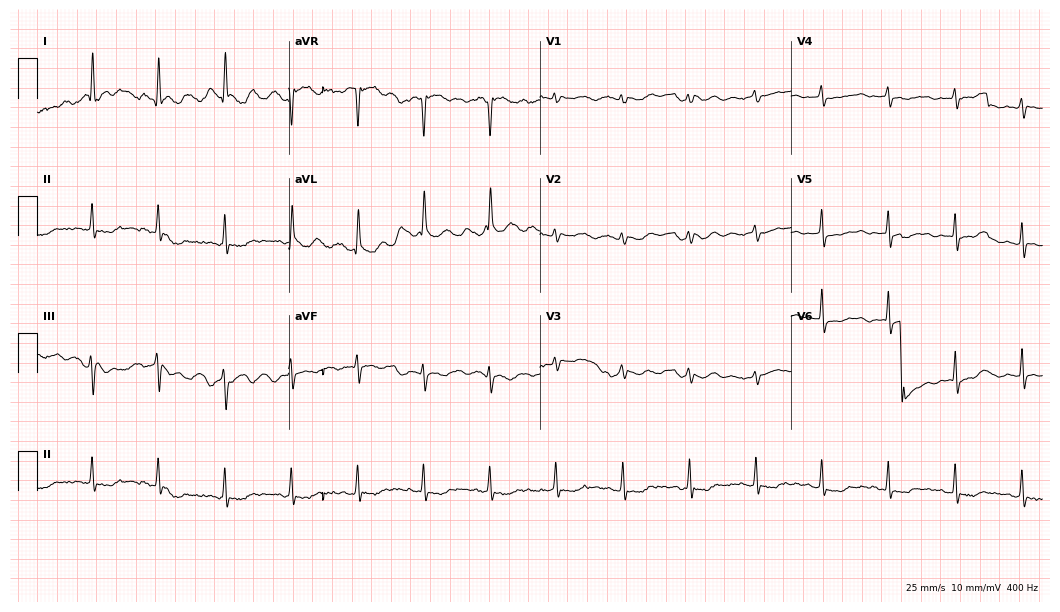
12-lead ECG (10.2-second recording at 400 Hz) from a female patient, 69 years old. Screened for six findings — first-degree AV block, right bundle branch block (RBBB), left bundle branch block (LBBB), sinus bradycardia, atrial fibrillation (AF), sinus tachycardia — none is recorded. Findings outside these six are not listed.